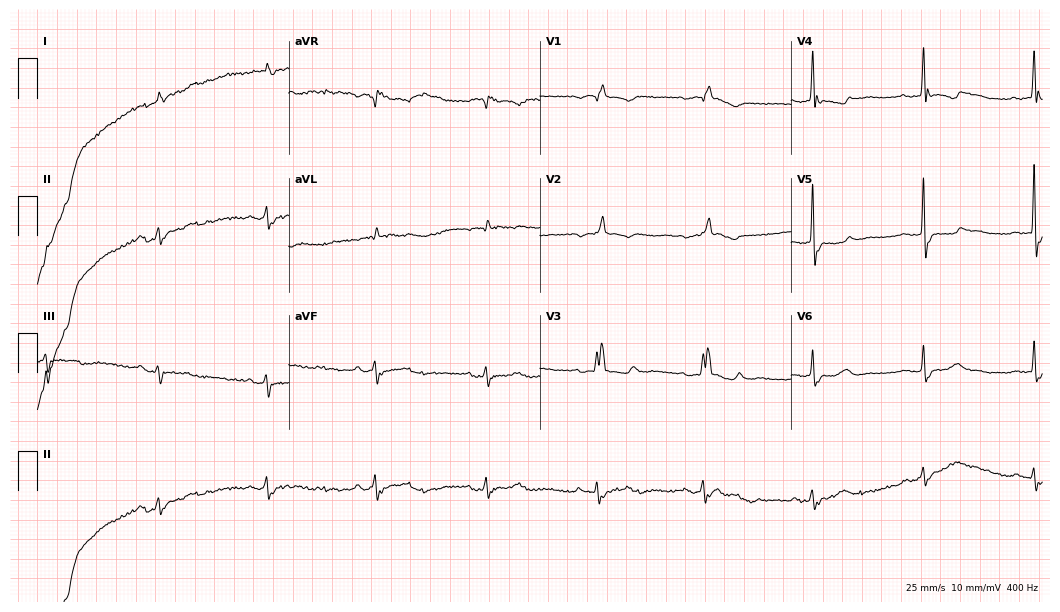
Electrocardiogram (10.2-second recording at 400 Hz), a male, 86 years old. Interpretation includes first-degree AV block, right bundle branch block (RBBB).